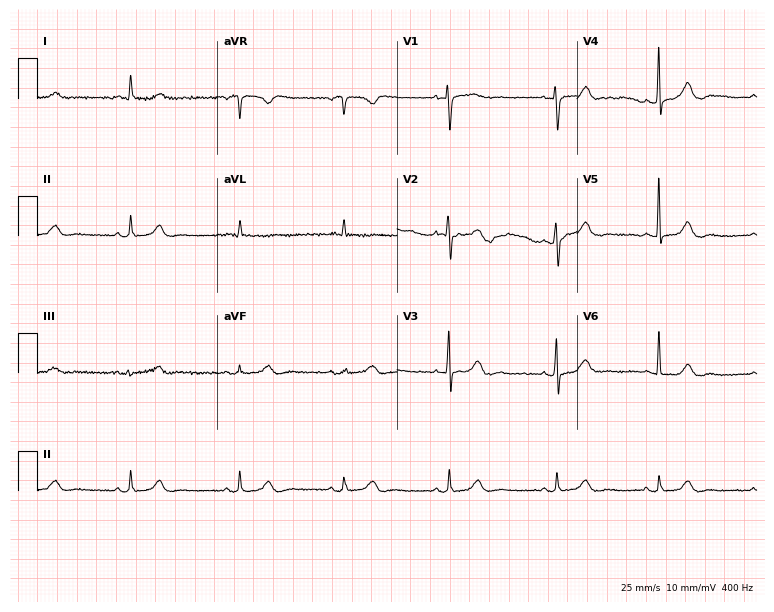
Resting 12-lead electrocardiogram (7.3-second recording at 400 Hz). Patient: an 83-year-old female. Read as a normal ECG.